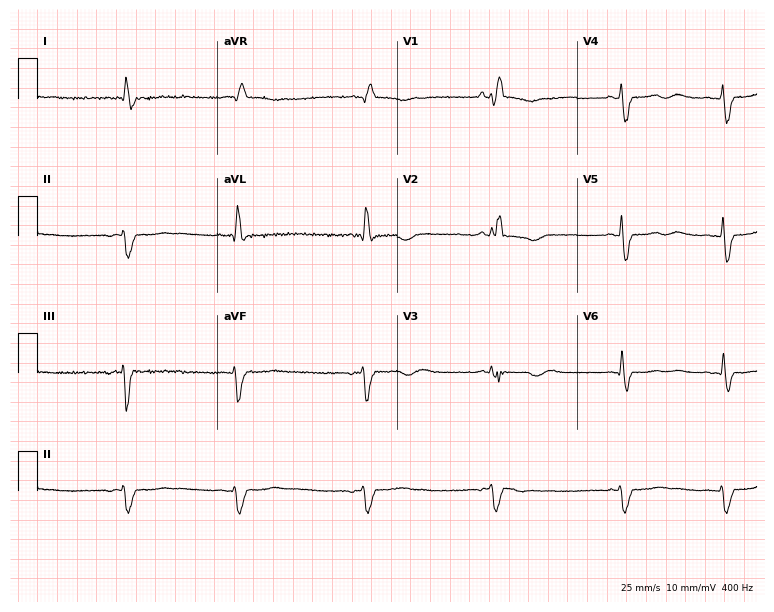
Electrocardiogram (7.3-second recording at 400 Hz), a 74-year-old woman. Interpretation includes right bundle branch block, atrial fibrillation.